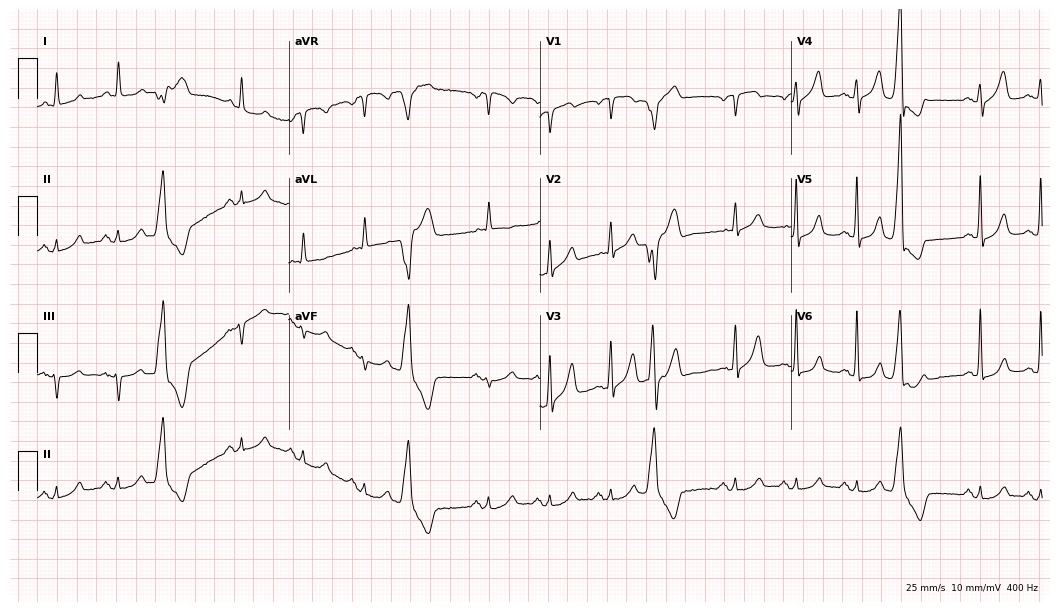
ECG — a 78-year-old woman. Screened for six findings — first-degree AV block, right bundle branch block, left bundle branch block, sinus bradycardia, atrial fibrillation, sinus tachycardia — none is recorded. Findings outside these six are not listed.